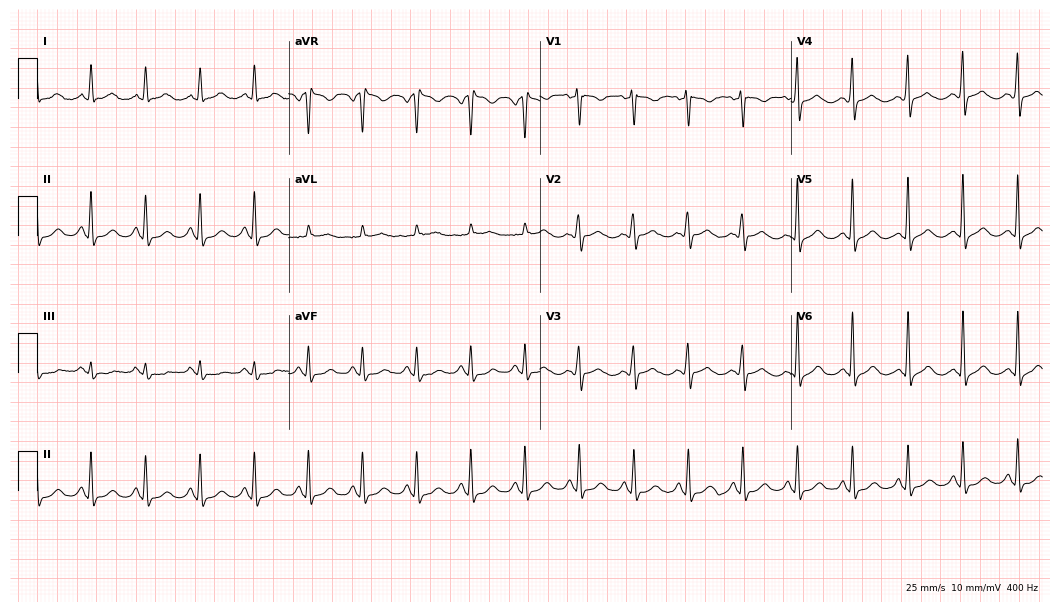
Electrocardiogram, a 50-year-old female patient. Of the six screened findings (first-degree AV block, right bundle branch block (RBBB), left bundle branch block (LBBB), sinus bradycardia, atrial fibrillation (AF), sinus tachycardia), none is recorded. Other findings, if any, are not listed.